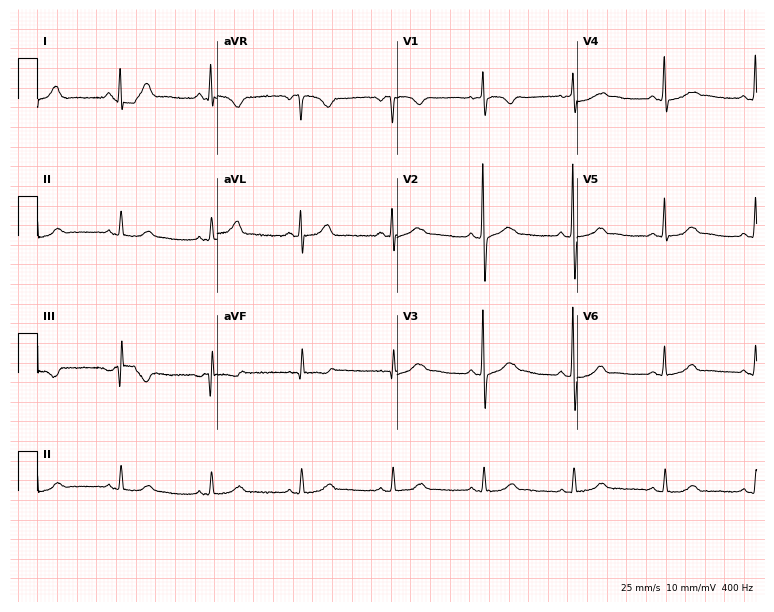
12-lead ECG (7.3-second recording at 400 Hz) from a woman, 68 years old. Labelled as a normal ECG.